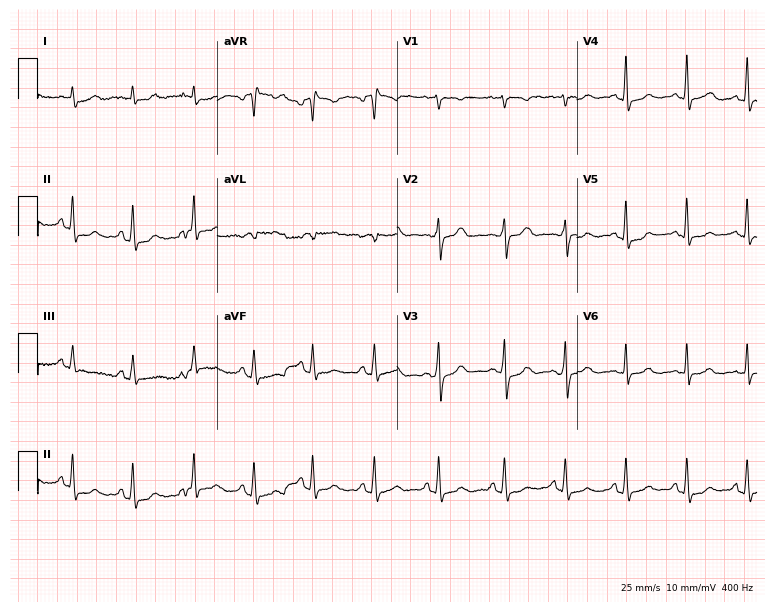
Resting 12-lead electrocardiogram. Patient: a 28-year-old woman. None of these six findings is recorded: first-degree AV block, right bundle branch block, left bundle branch block, sinus bradycardia, atrial fibrillation, sinus tachycardia.